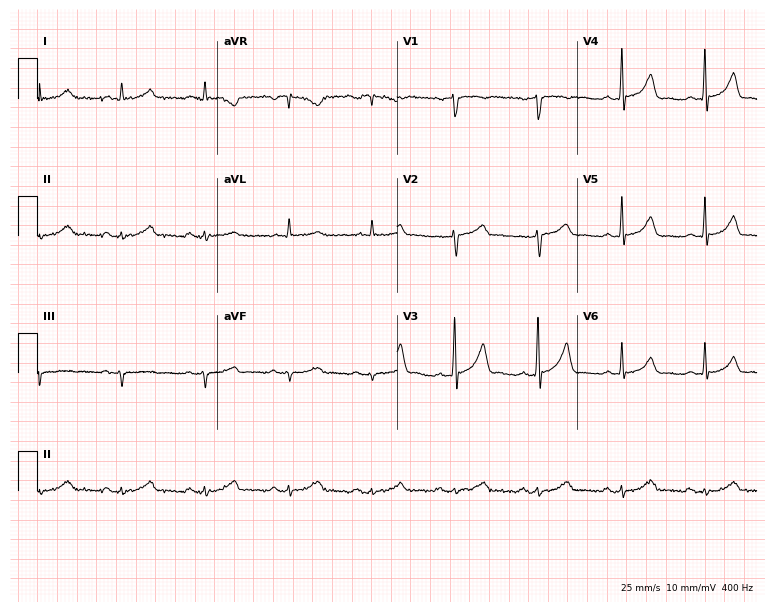
Resting 12-lead electrocardiogram. Patient: a 58-year-old male. None of these six findings is recorded: first-degree AV block, right bundle branch block (RBBB), left bundle branch block (LBBB), sinus bradycardia, atrial fibrillation (AF), sinus tachycardia. Findings outside these six are not listed.